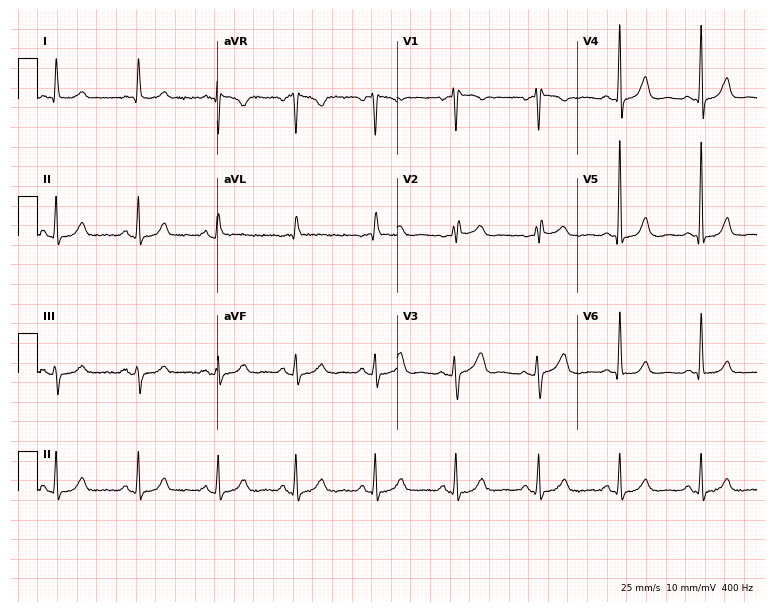
Electrocardiogram (7.3-second recording at 400 Hz), a woman, 68 years old. Of the six screened findings (first-degree AV block, right bundle branch block, left bundle branch block, sinus bradycardia, atrial fibrillation, sinus tachycardia), none is recorded.